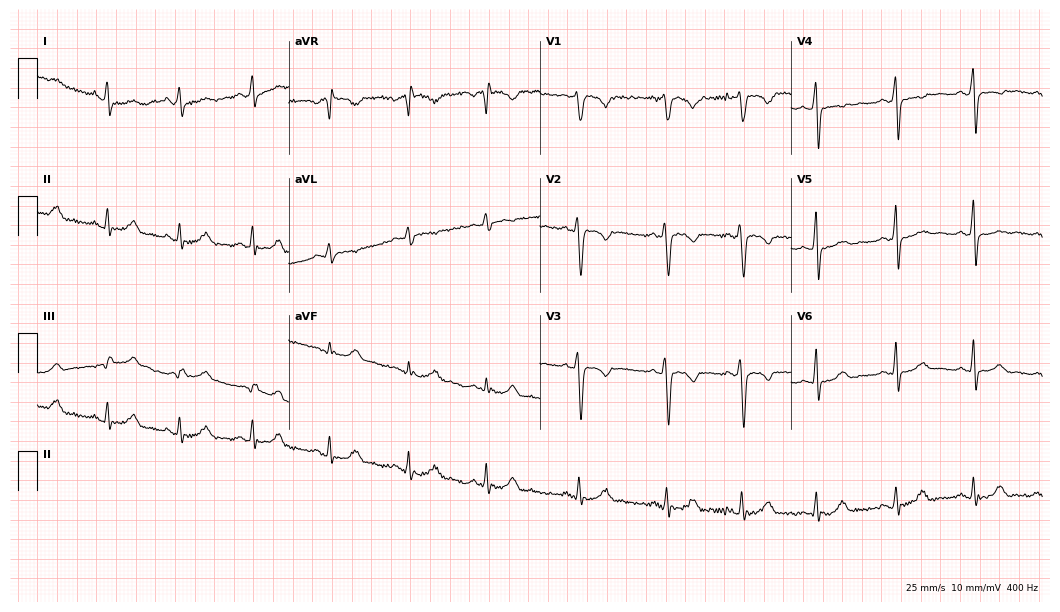
12-lead ECG (10.2-second recording at 400 Hz) from a 28-year-old female patient. Screened for six findings — first-degree AV block, right bundle branch block, left bundle branch block, sinus bradycardia, atrial fibrillation, sinus tachycardia — none is recorded. Other findings, if any, are not listed.